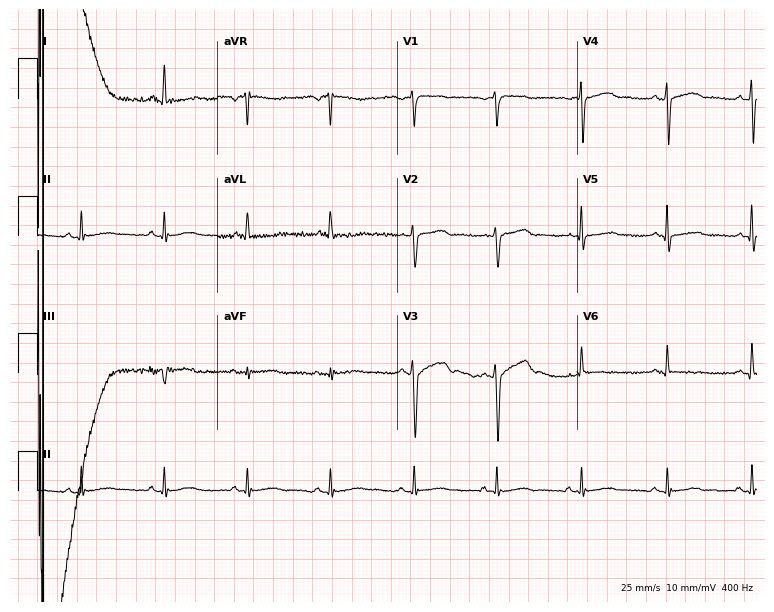
Standard 12-lead ECG recorded from a 56-year-old woman. None of these six findings is recorded: first-degree AV block, right bundle branch block, left bundle branch block, sinus bradycardia, atrial fibrillation, sinus tachycardia. Only these six findings were labelled.